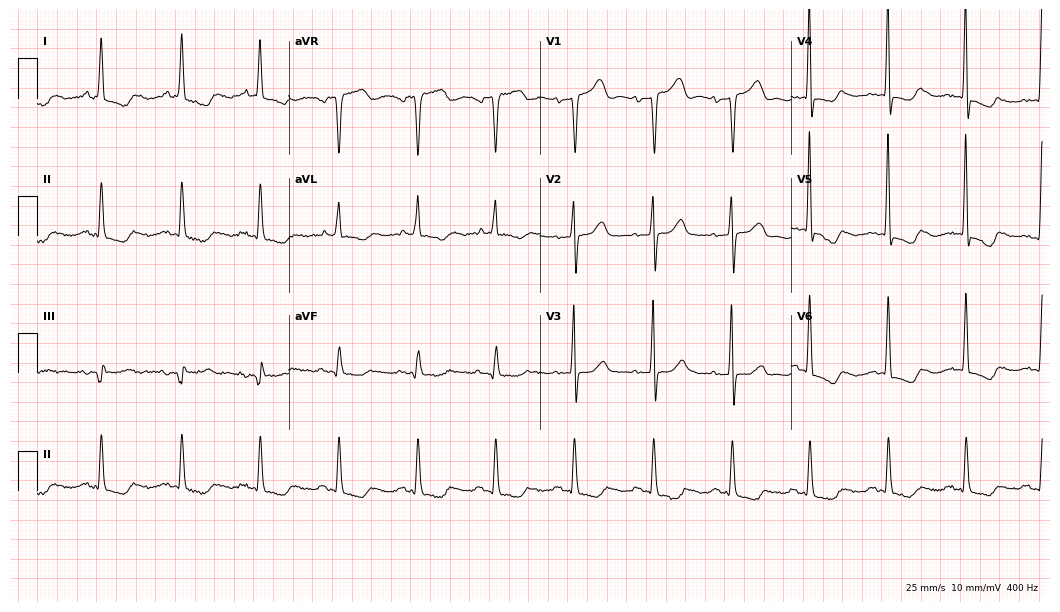
Standard 12-lead ECG recorded from a female, 59 years old (10.2-second recording at 400 Hz). None of these six findings is recorded: first-degree AV block, right bundle branch block (RBBB), left bundle branch block (LBBB), sinus bradycardia, atrial fibrillation (AF), sinus tachycardia.